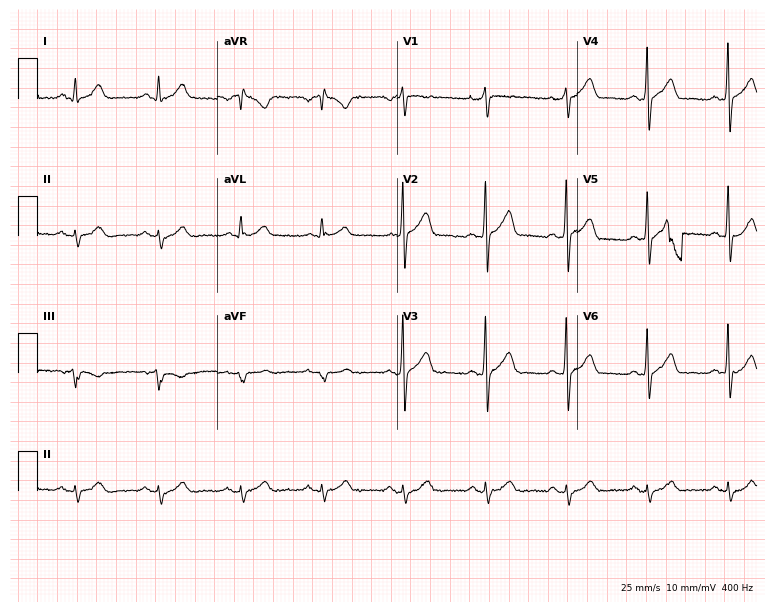
Resting 12-lead electrocardiogram. Patient: a 42-year-old male. None of these six findings is recorded: first-degree AV block, right bundle branch block, left bundle branch block, sinus bradycardia, atrial fibrillation, sinus tachycardia. Other findings, if any, are not listed.